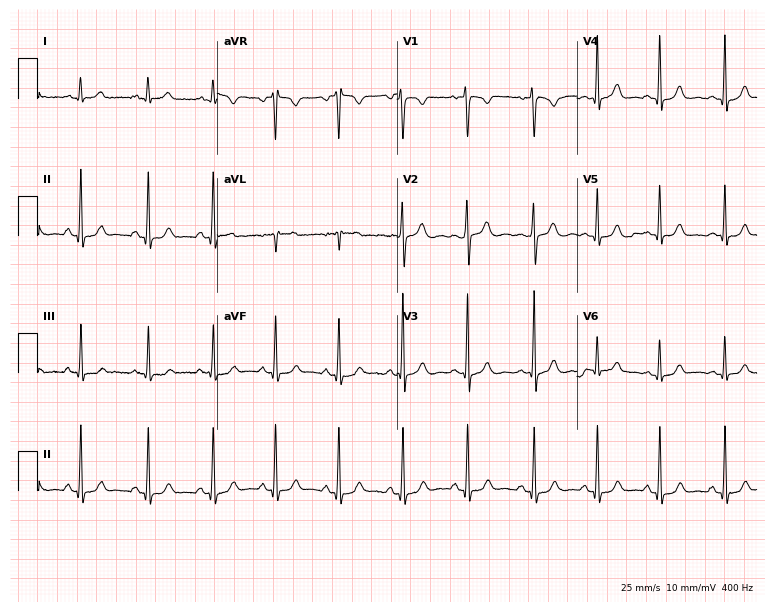
Resting 12-lead electrocardiogram. Patient: a female, 18 years old. Read as a normal ECG.